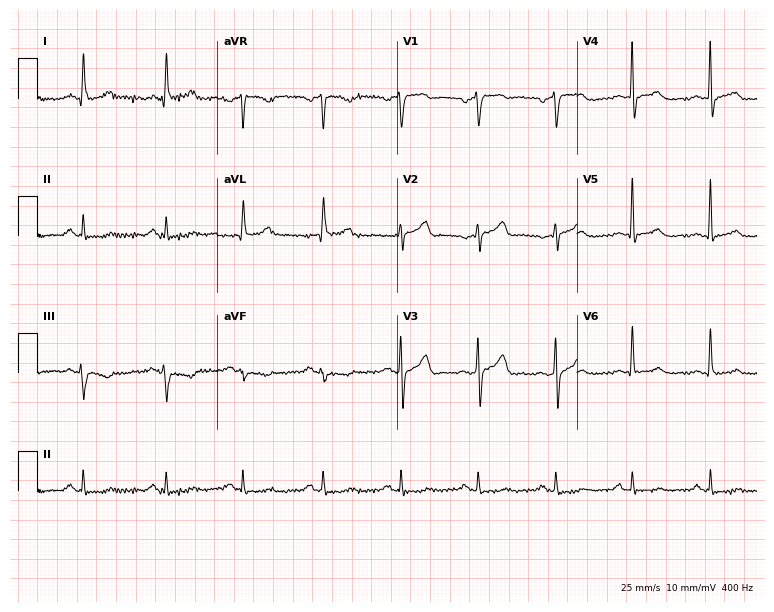
Electrocardiogram, a 69-year-old male patient. Of the six screened findings (first-degree AV block, right bundle branch block, left bundle branch block, sinus bradycardia, atrial fibrillation, sinus tachycardia), none is recorded. Findings outside these six are not listed.